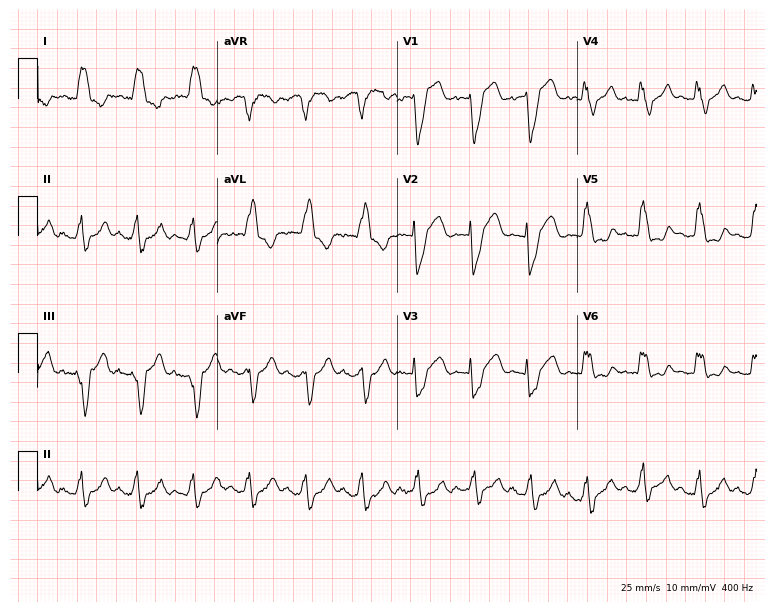
Standard 12-lead ECG recorded from a female, 79 years old. The tracing shows left bundle branch block.